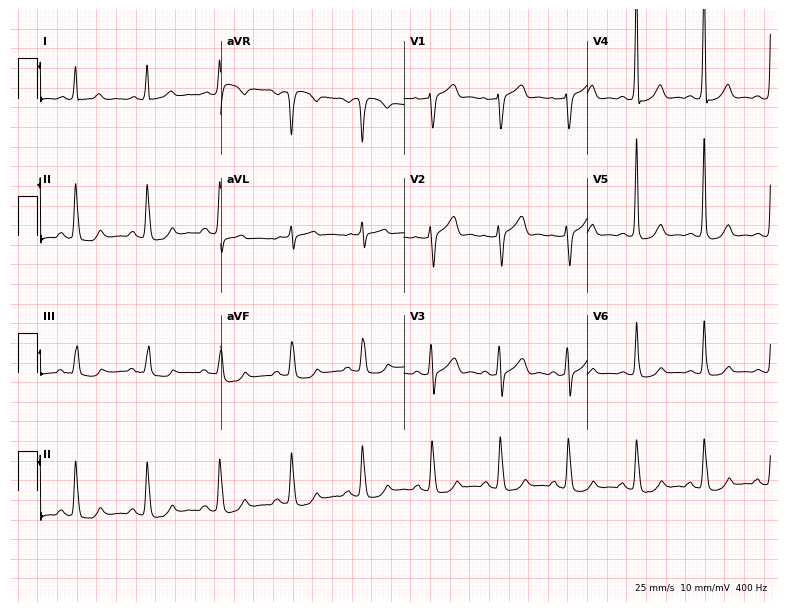
12-lead ECG from a man, 72 years old. Labelled as a normal ECG.